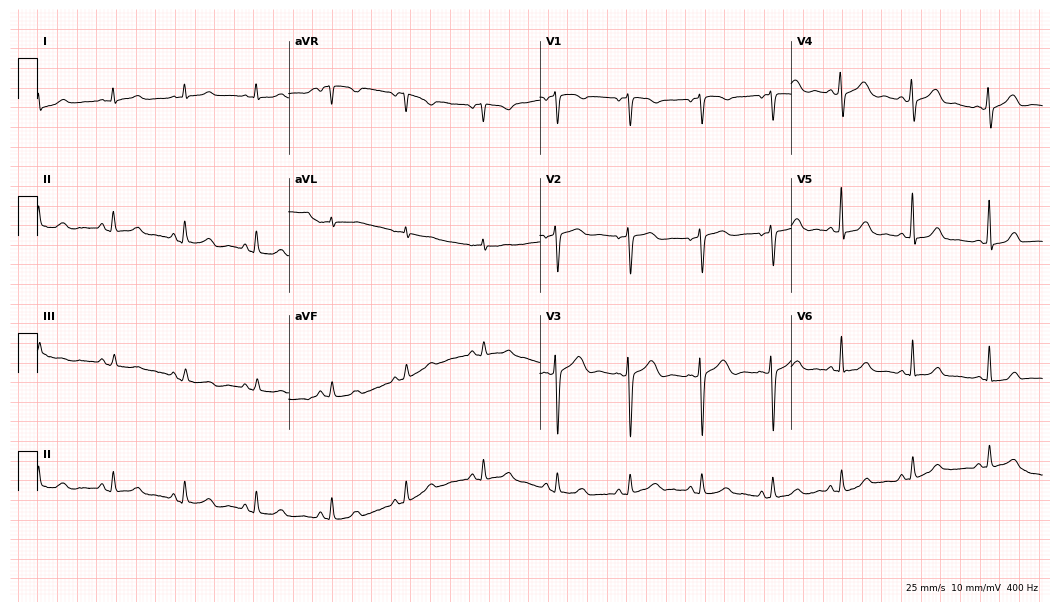
12-lead ECG from a female, 62 years old (10.2-second recording at 400 Hz). Recorded interpretation: within normal limits.